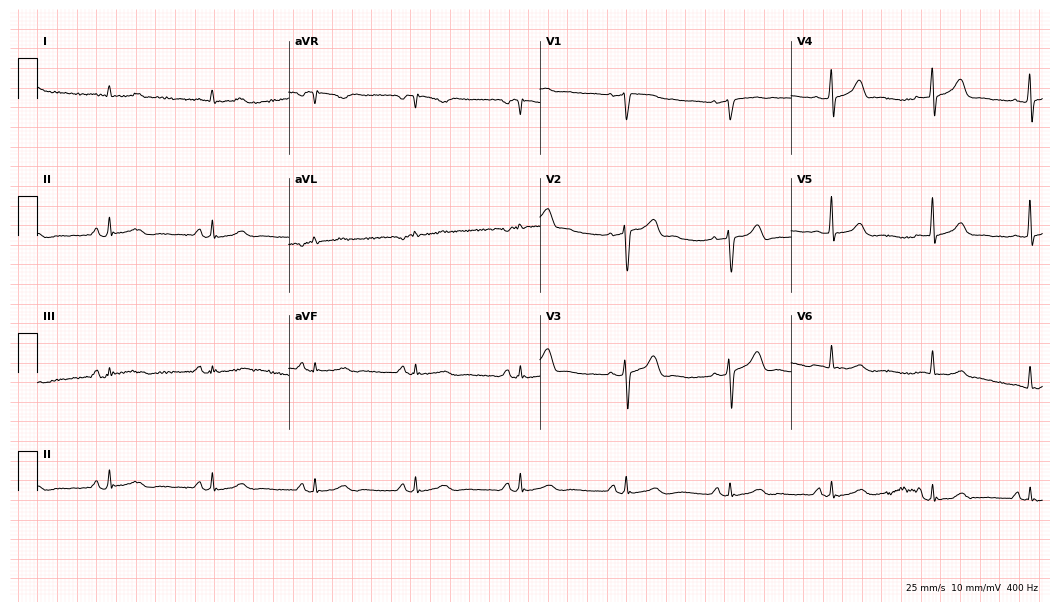
ECG (10.2-second recording at 400 Hz) — a 65-year-old man. Labelled as a normal ECG.